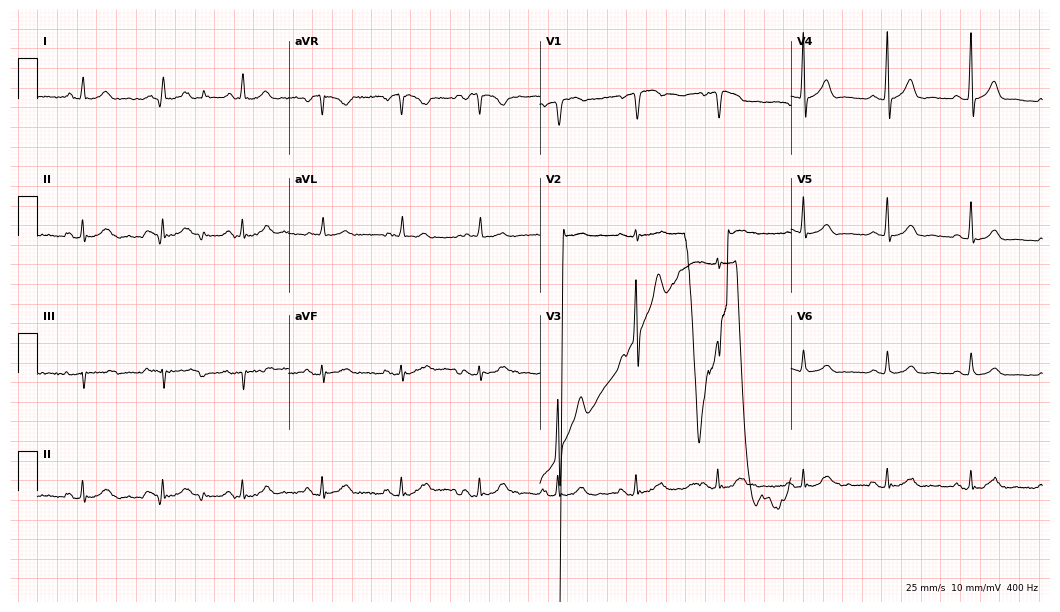
ECG — a 64-year-old male patient. Screened for six findings — first-degree AV block, right bundle branch block, left bundle branch block, sinus bradycardia, atrial fibrillation, sinus tachycardia — none is recorded. Other findings, if any, are not listed.